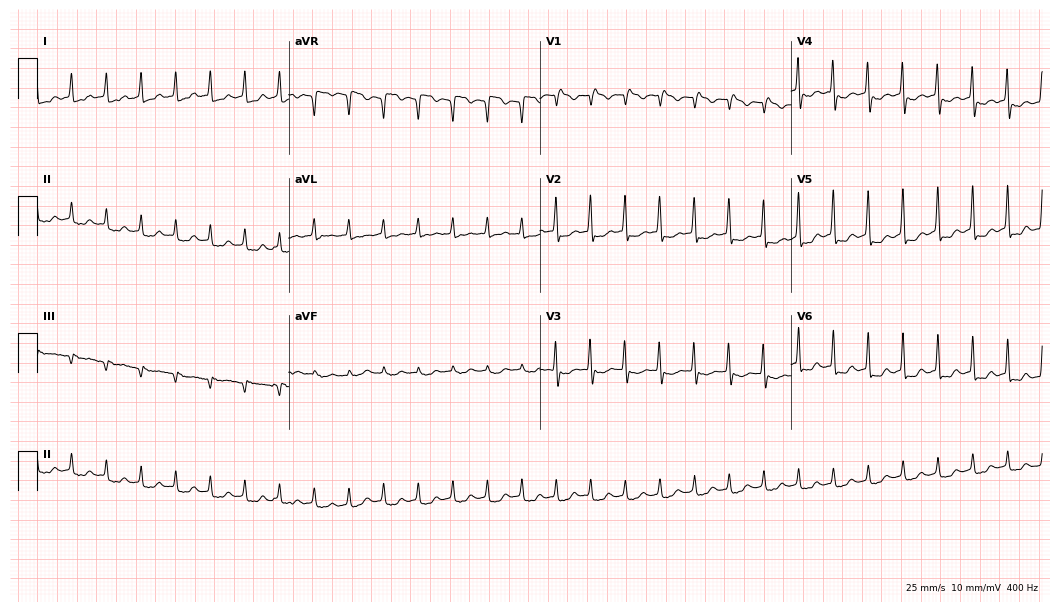
Resting 12-lead electrocardiogram (10.2-second recording at 400 Hz). Patient: a 39-year-old female. None of these six findings is recorded: first-degree AV block, right bundle branch block (RBBB), left bundle branch block (LBBB), sinus bradycardia, atrial fibrillation (AF), sinus tachycardia. Only these six findings were labelled.